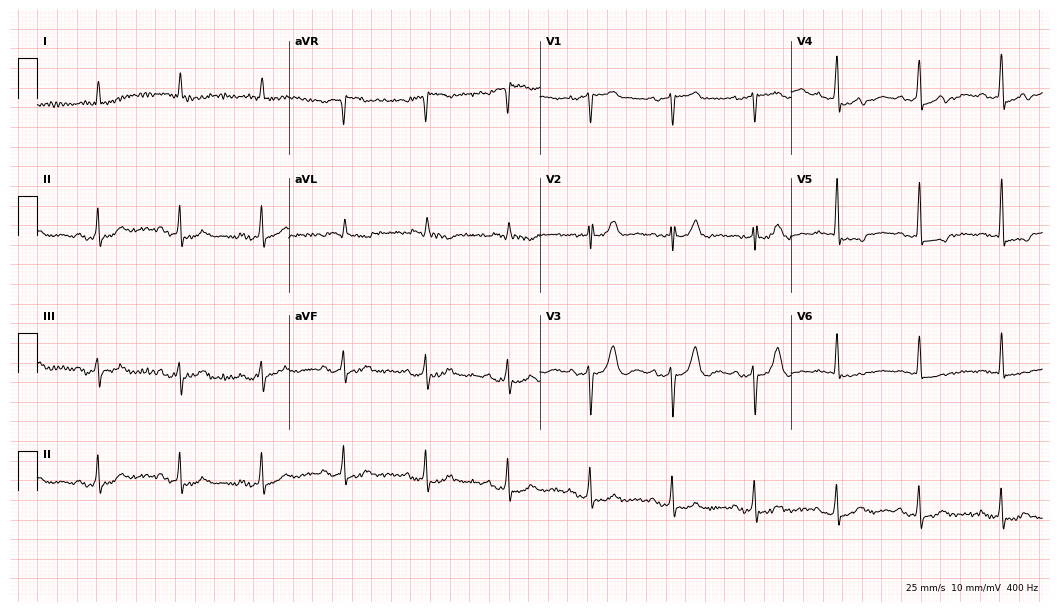
Resting 12-lead electrocardiogram. Patient: an 85-year-old man. None of these six findings is recorded: first-degree AV block, right bundle branch block (RBBB), left bundle branch block (LBBB), sinus bradycardia, atrial fibrillation (AF), sinus tachycardia. Only these six findings were labelled.